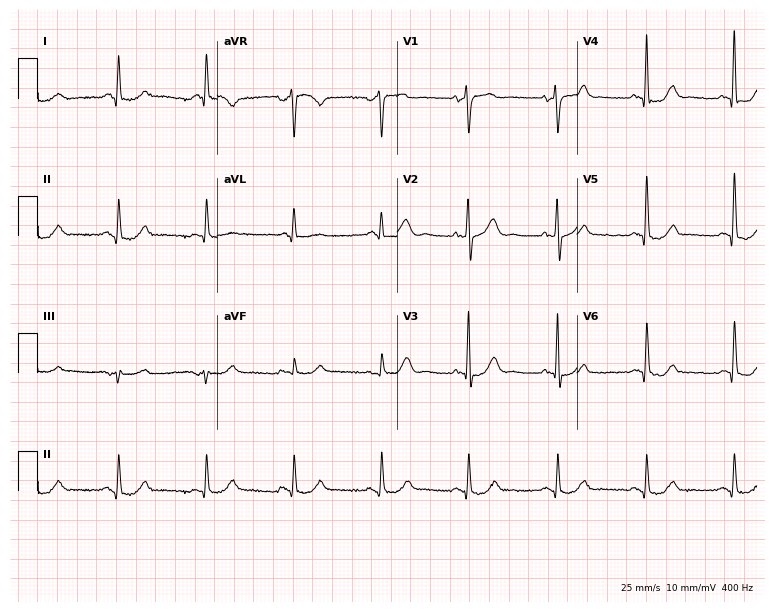
Resting 12-lead electrocardiogram (7.3-second recording at 400 Hz). Patient: a male, 78 years old. Read as a normal ECG.